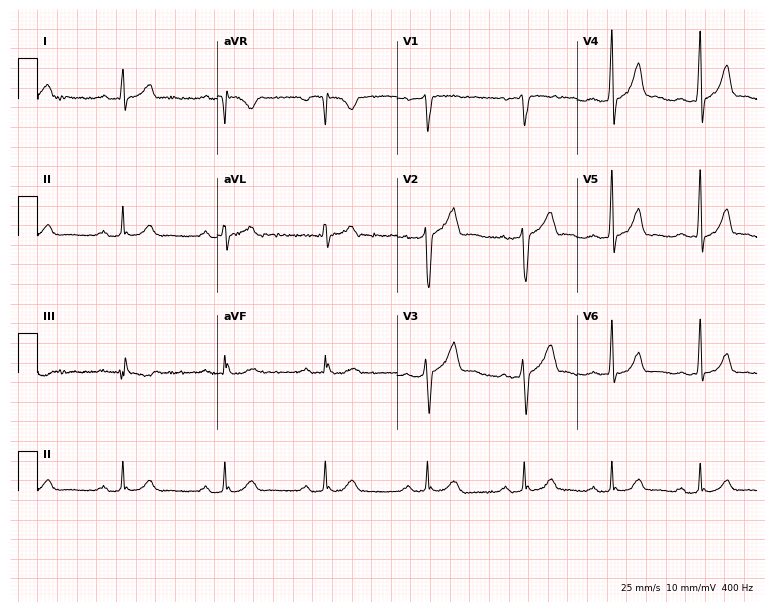
12-lead ECG from a 39-year-old male patient. Findings include first-degree AV block.